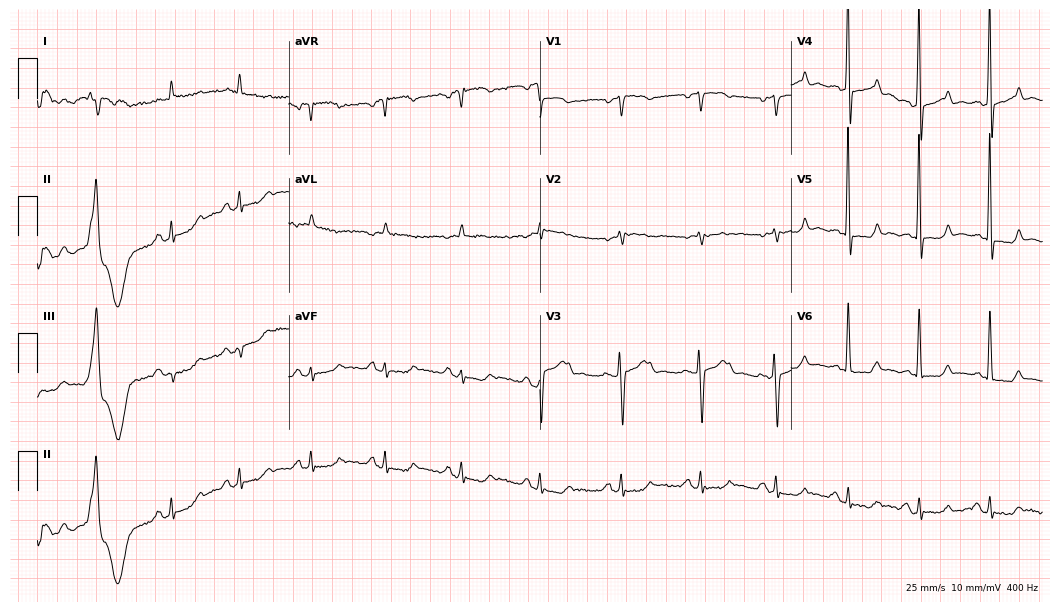
12-lead ECG from a 67-year-old female. Screened for six findings — first-degree AV block, right bundle branch block, left bundle branch block, sinus bradycardia, atrial fibrillation, sinus tachycardia — none is recorded.